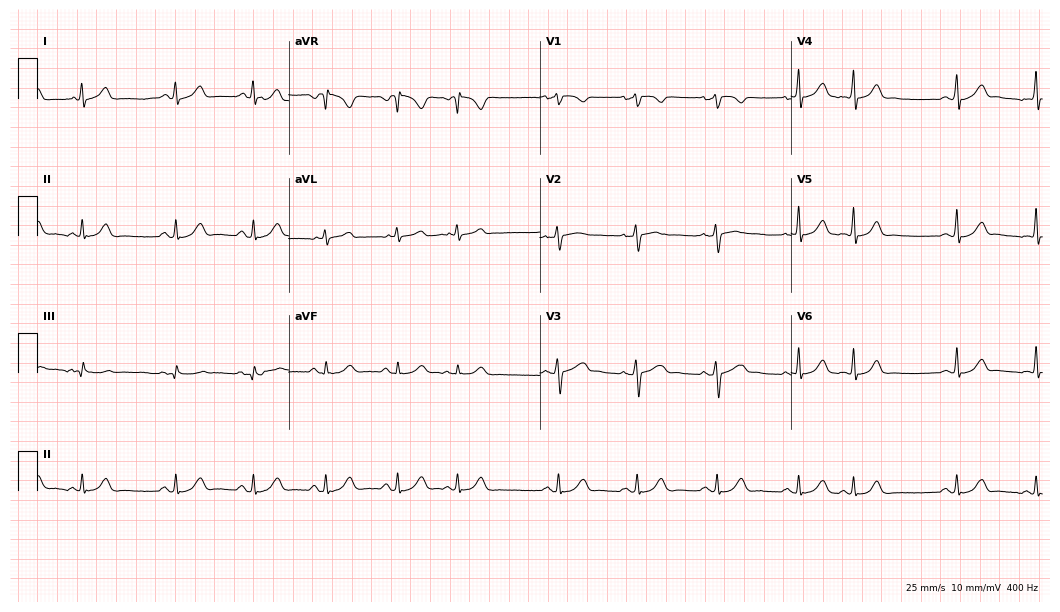
ECG (10.2-second recording at 400 Hz) — a 24-year-old woman. Screened for six findings — first-degree AV block, right bundle branch block, left bundle branch block, sinus bradycardia, atrial fibrillation, sinus tachycardia — none is recorded.